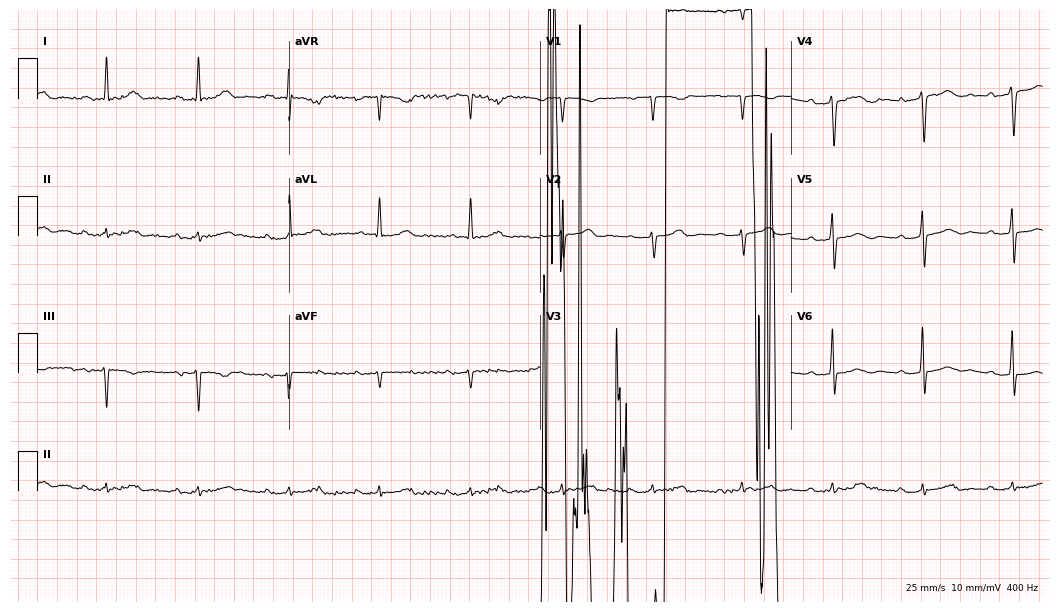
12-lead ECG (10.2-second recording at 400 Hz) from a female patient, 77 years old. Screened for six findings — first-degree AV block, right bundle branch block (RBBB), left bundle branch block (LBBB), sinus bradycardia, atrial fibrillation (AF), sinus tachycardia — none is recorded.